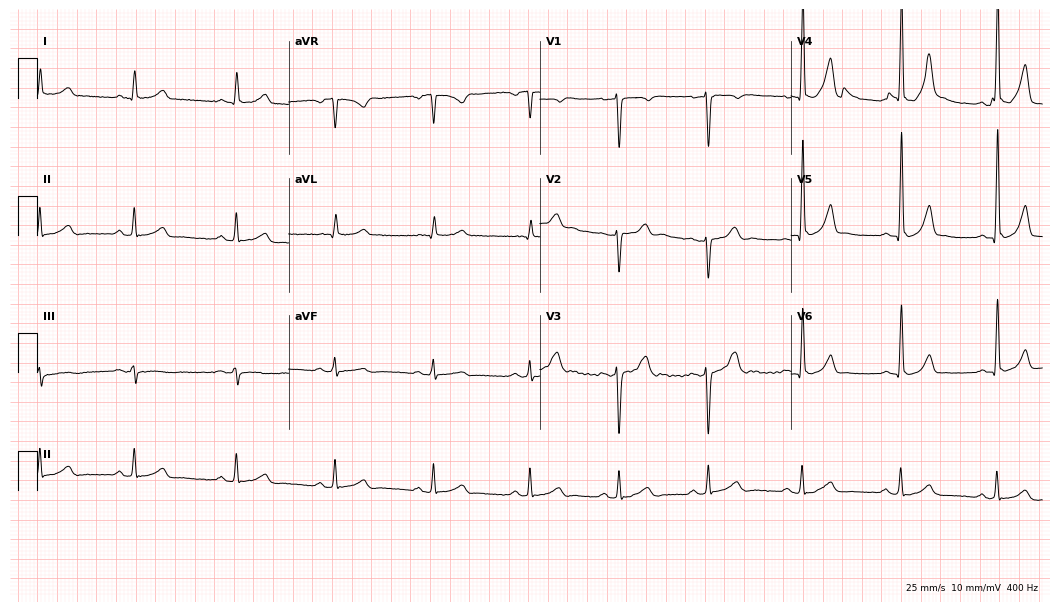
Resting 12-lead electrocardiogram (10.2-second recording at 400 Hz). Patient: a male, 35 years old. Read as a normal ECG.